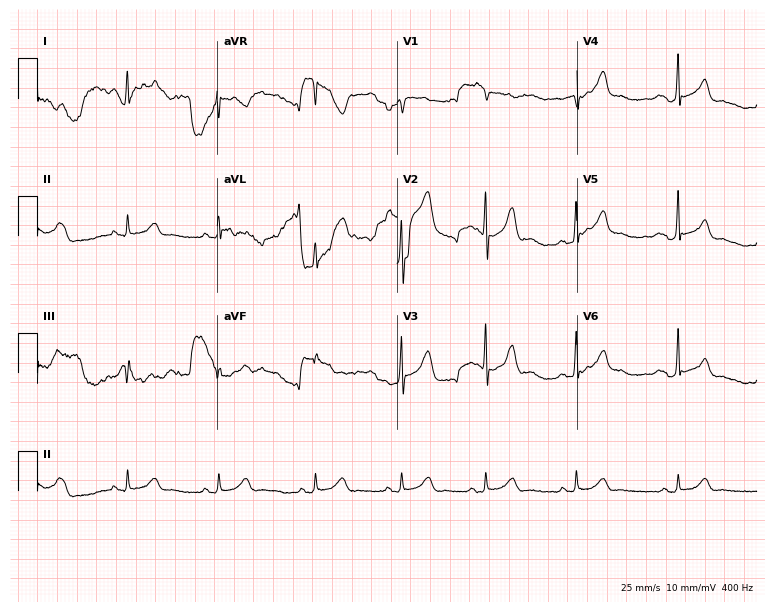
Resting 12-lead electrocardiogram (7.3-second recording at 400 Hz). Patient: a male, 37 years old. None of these six findings is recorded: first-degree AV block, right bundle branch block (RBBB), left bundle branch block (LBBB), sinus bradycardia, atrial fibrillation (AF), sinus tachycardia. Only these six findings were labelled.